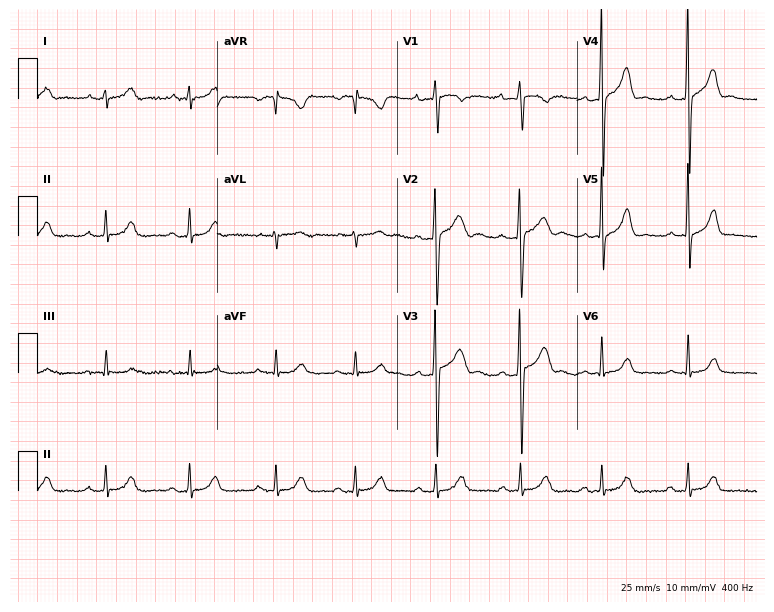
Resting 12-lead electrocardiogram. Patient: an 18-year-old male. None of these six findings is recorded: first-degree AV block, right bundle branch block (RBBB), left bundle branch block (LBBB), sinus bradycardia, atrial fibrillation (AF), sinus tachycardia. Other findings, if any, are not listed.